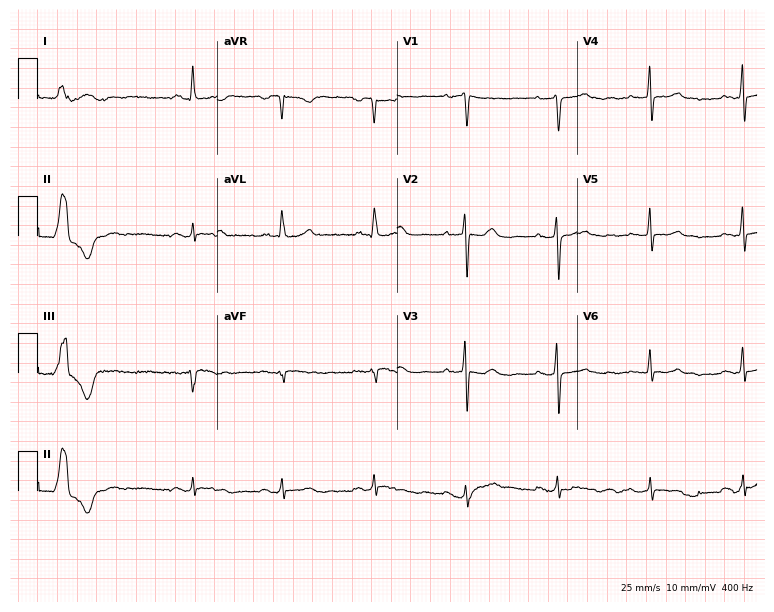
Resting 12-lead electrocardiogram. Patient: a female, 70 years old. None of these six findings is recorded: first-degree AV block, right bundle branch block, left bundle branch block, sinus bradycardia, atrial fibrillation, sinus tachycardia.